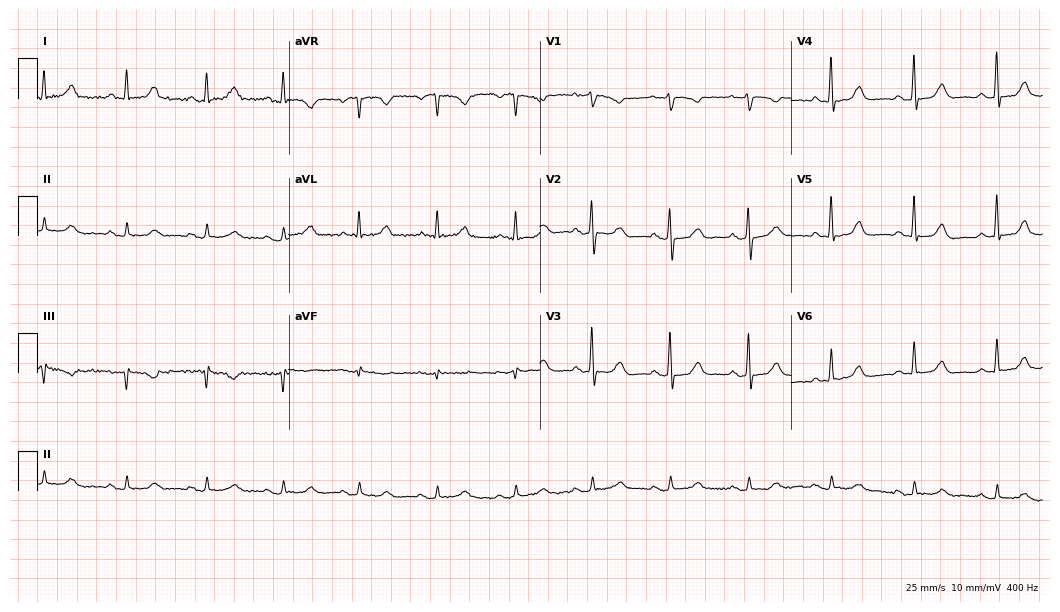
Resting 12-lead electrocardiogram (10.2-second recording at 400 Hz). Patient: a 73-year-old woman. Read as a normal ECG.